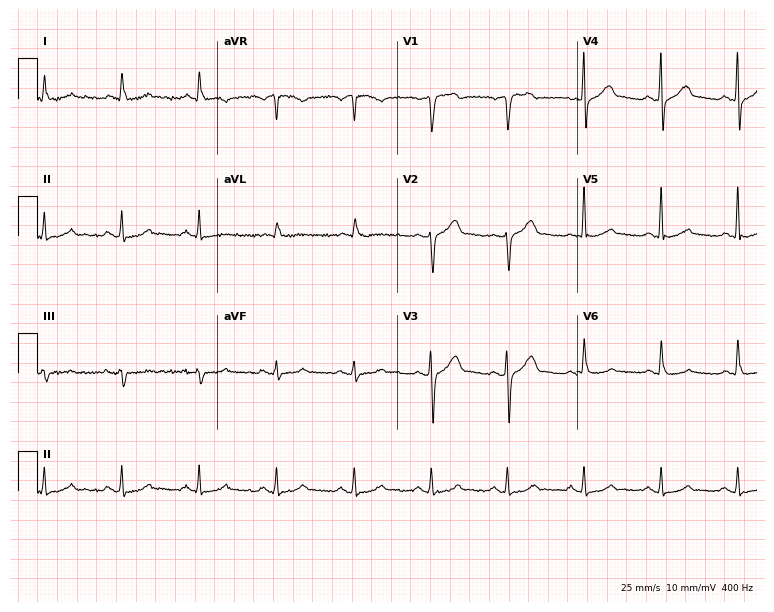
ECG (7.3-second recording at 400 Hz) — a 31-year-old male. Labelled as a normal ECG.